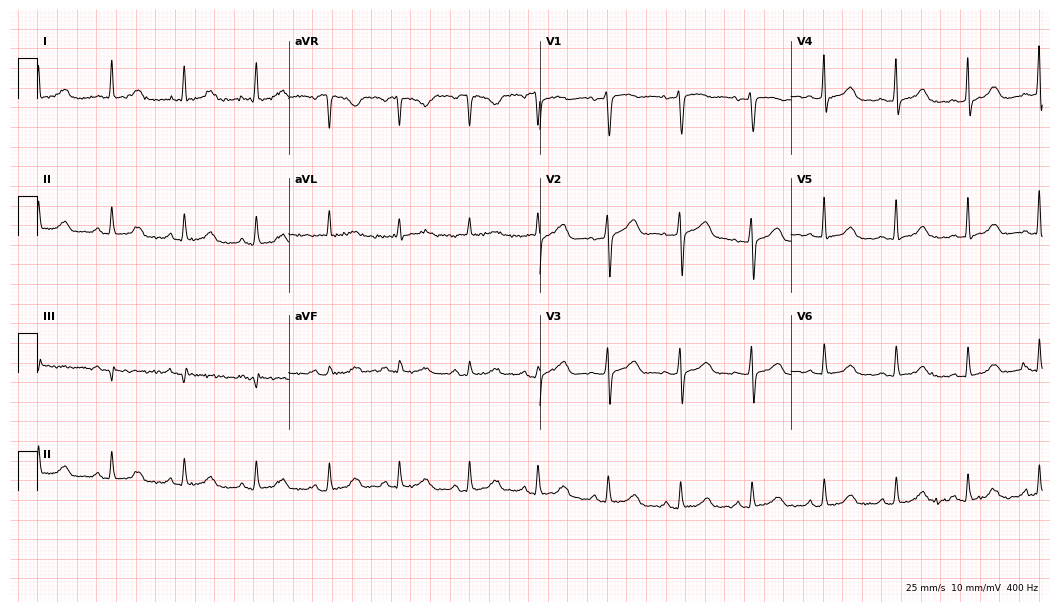
Electrocardiogram (10.2-second recording at 400 Hz), a 53-year-old female patient. Overall reading on record: normal ECG.